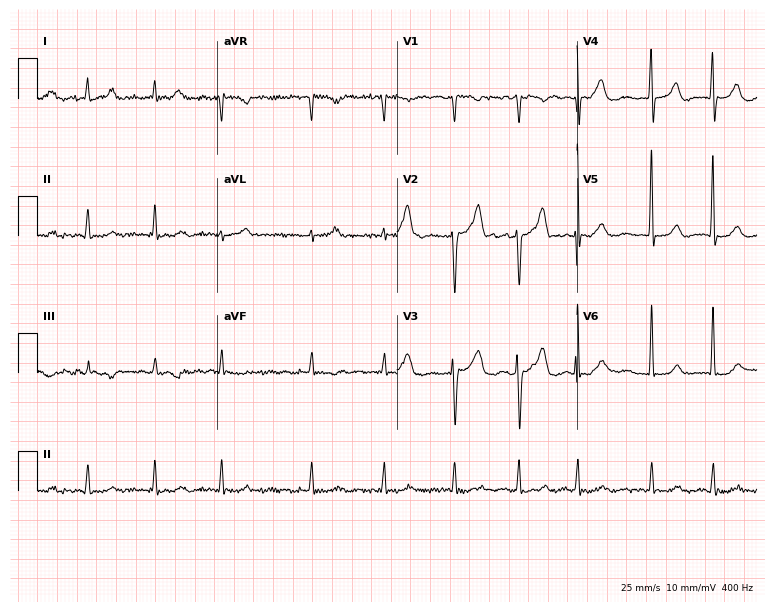
Electrocardiogram, a male patient, 78 years old. Interpretation includes atrial fibrillation.